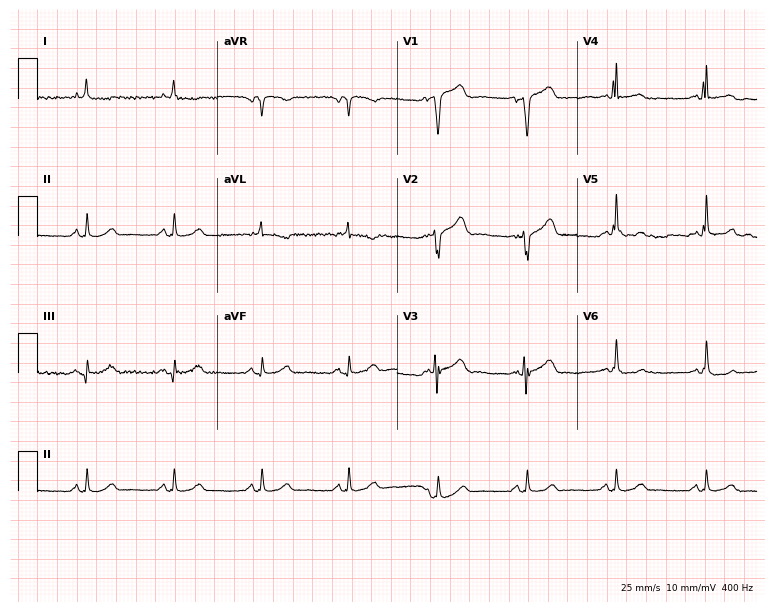
Resting 12-lead electrocardiogram (7.3-second recording at 400 Hz). Patient: a 62-year-old male. None of these six findings is recorded: first-degree AV block, right bundle branch block (RBBB), left bundle branch block (LBBB), sinus bradycardia, atrial fibrillation (AF), sinus tachycardia.